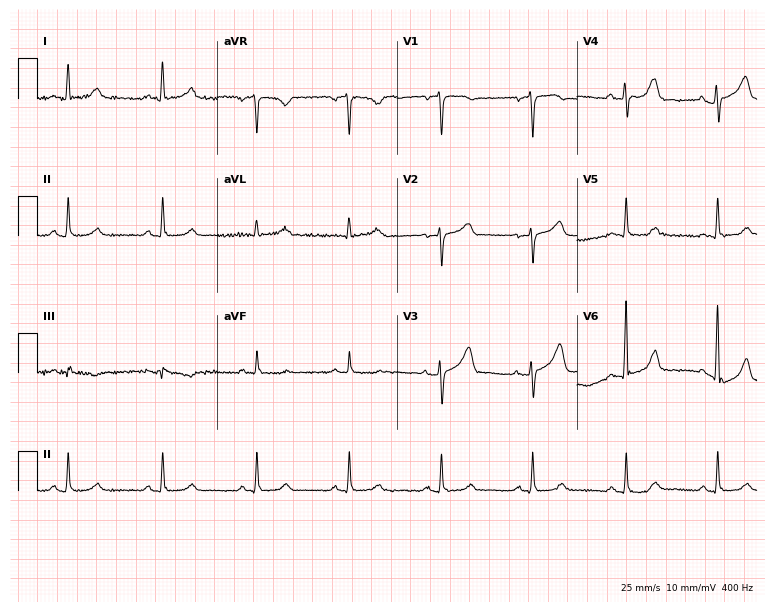
12-lead ECG from a 61-year-old male (7.3-second recording at 400 Hz). Recorded interpretation: within normal limits.